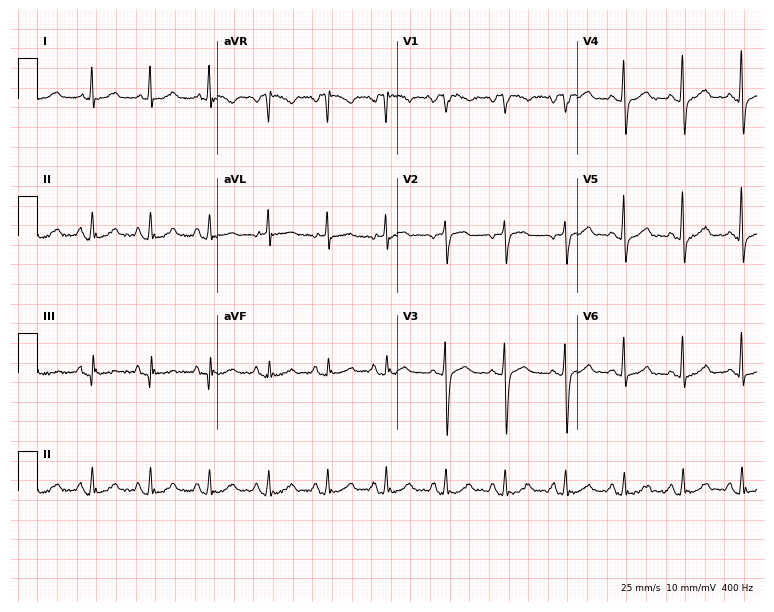
12-lead ECG (7.3-second recording at 400 Hz) from a female patient, 74 years old. Screened for six findings — first-degree AV block, right bundle branch block, left bundle branch block, sinus bradycardia, atrial fibrillation, sinus tachycardia — none is recorded. Only these six findings were labelled.